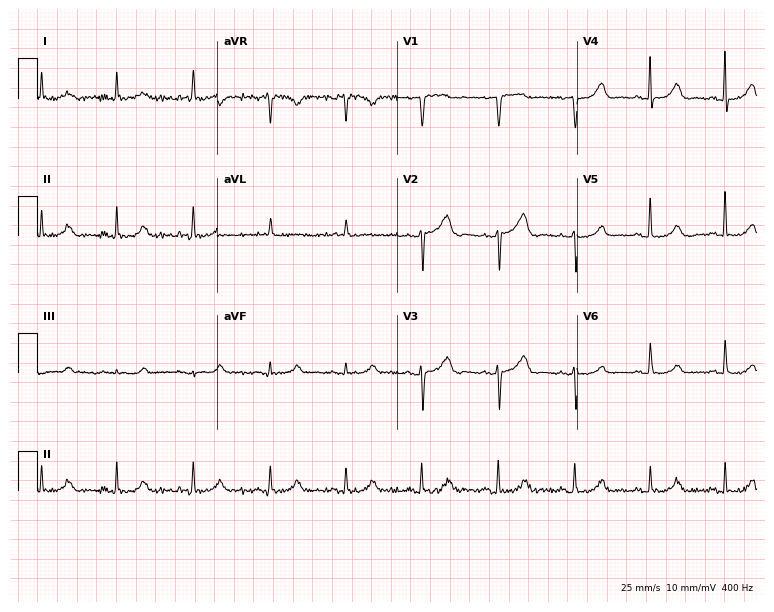
12-lead ECG from a female patient, 84 years old. Screened for six findings — first-degree AV block, right bundle branch block, left bundle branch block, sinus bradycardia, atrial fibrillation, sinus tachycardia — none is recorded. Findings outside these six are not listed.